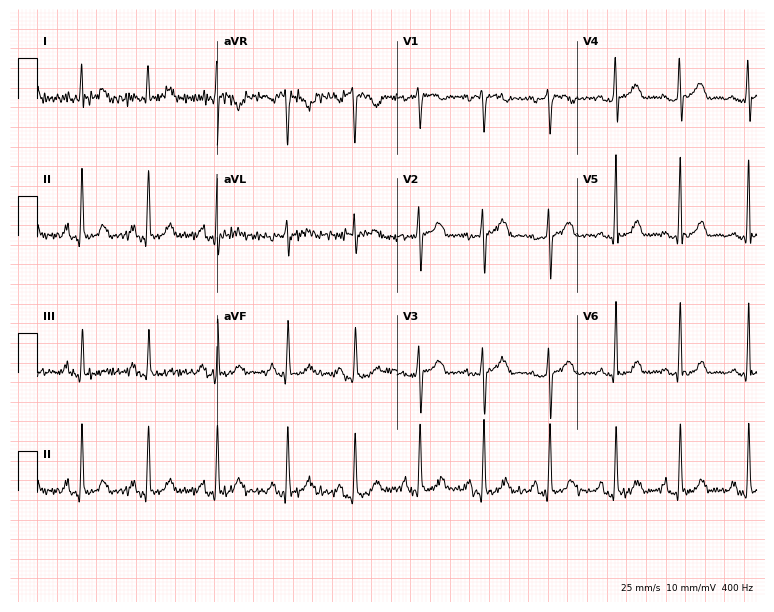
12-lead ECG (7.3-second recording at 400 Hz) from a woman, 30 years old. Labelled as a normal ECG.